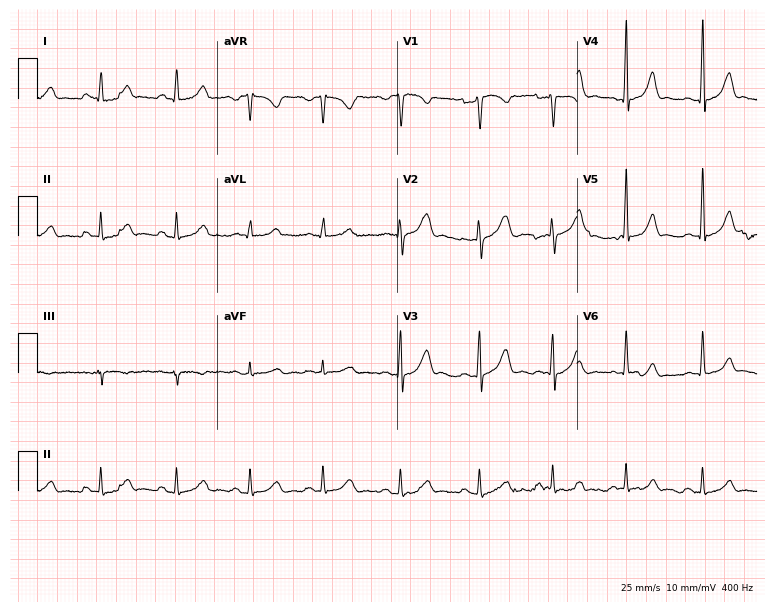
Electrocardiogram (7.3-second recording at 400 Hz), a female, 36 years old. Of the six screened findings (first-degree AV block, right bundle branch block, left bundle branch block, sinus bradycardia, atrial fibrillation, sinus tachycardia), none is recorded. Other findings, if any, are not listed.